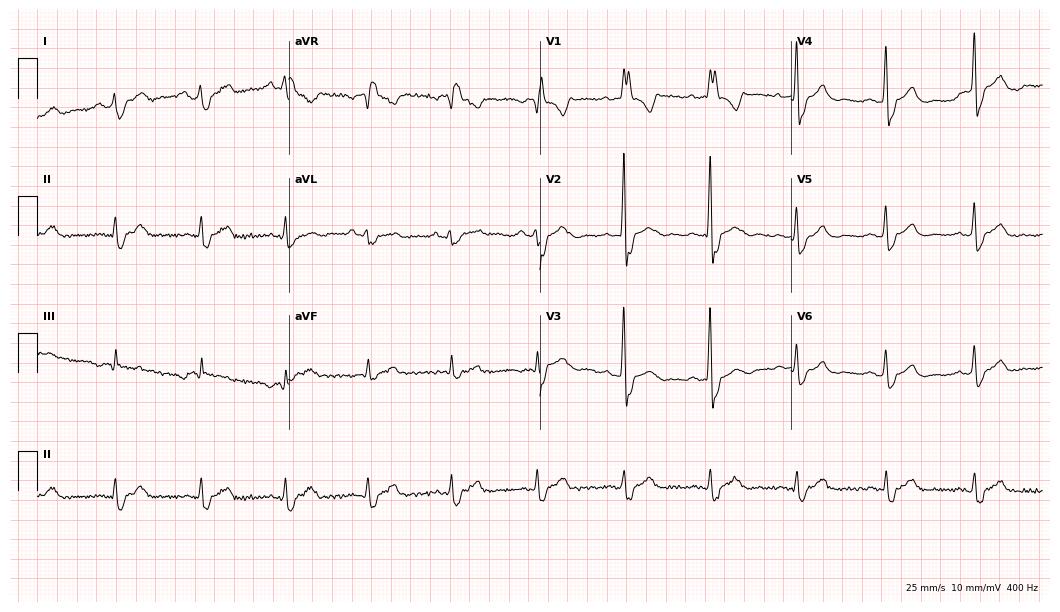
12-lead ECG from a 79-year-old man. Findings include right bundle branch block.